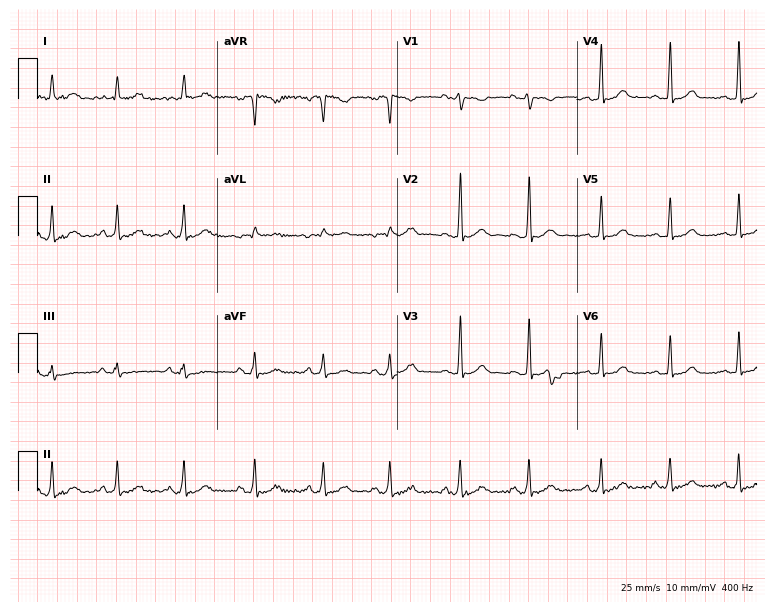
Resting 12-lead electrocardiogram. Patient: an 18-year-old woman. None of these six findings is recorded: first-degree AV block, right bundle branch block, left bundle branch block, sinus bradycardia, atrial fibrillation, sinus tachycardia. Only these six findings were labelled.